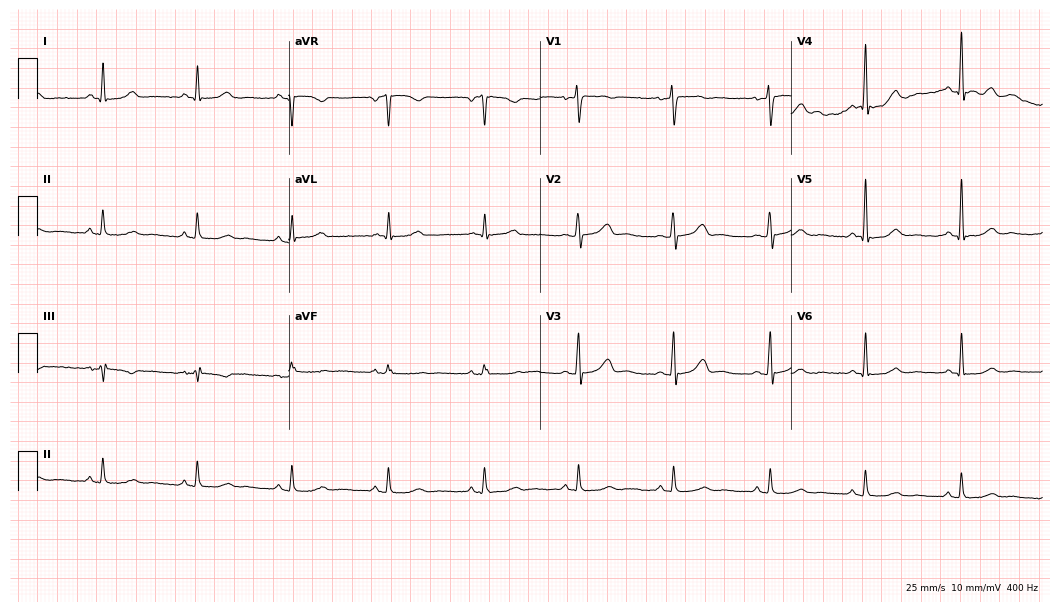
12-lead ECG from a 56-year-old female patient. Recorded interpretation: within normal limits.